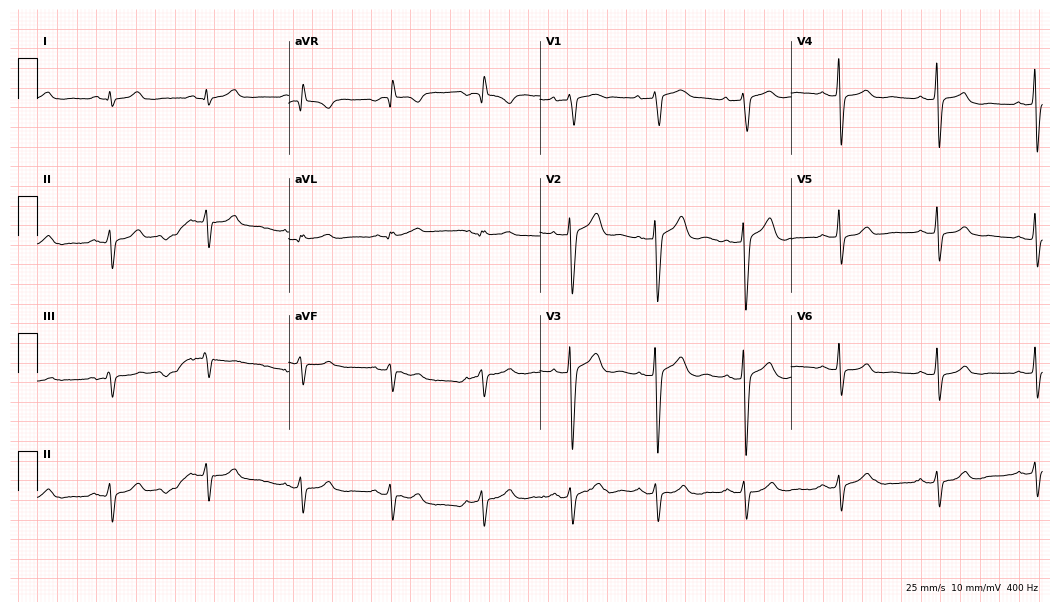
Electrocardiogram (10.2-second recording at 400 Hz), a 29-year-old man. Of the six screened findings (first-degree AV block, right bundle branch block, left bundle branch block, sinus bradycardia, atrial fibrillation, sinus tachycardia), none is recorded.